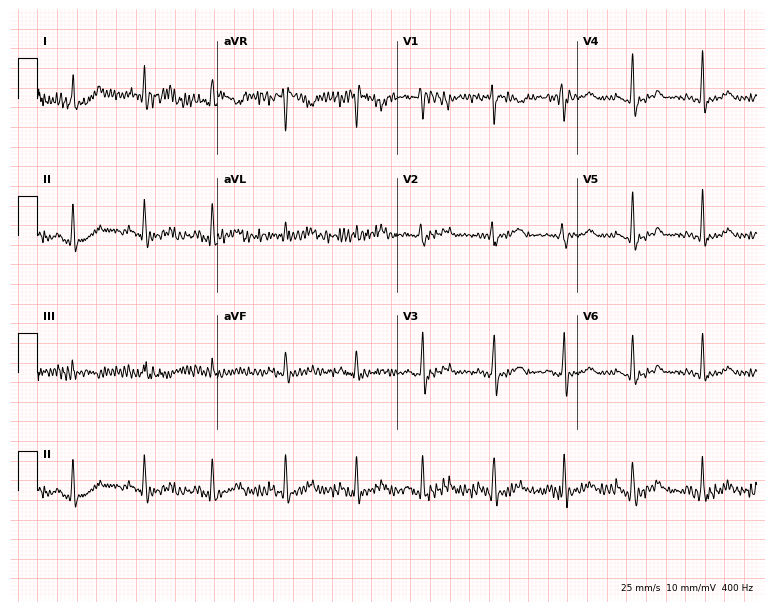
ECG — a female patient, 51 years old. Screened for six findings — first-degree AV block, right bundle branch block, left bundle branch block, sinus bradycardia, atrial fibrillation, sinus tachycardia — none is recorded.